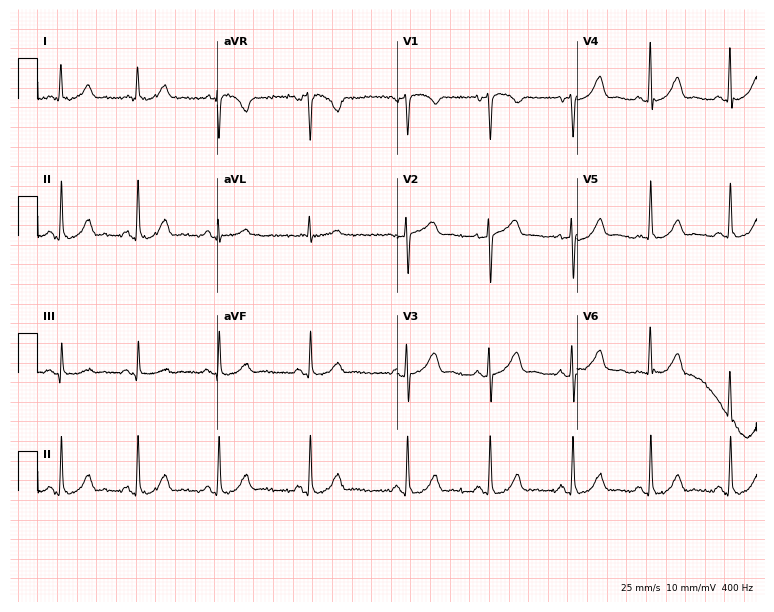
Electrocardiogram, a 51-year-old female patient. Overall reading on record: normal ECG.